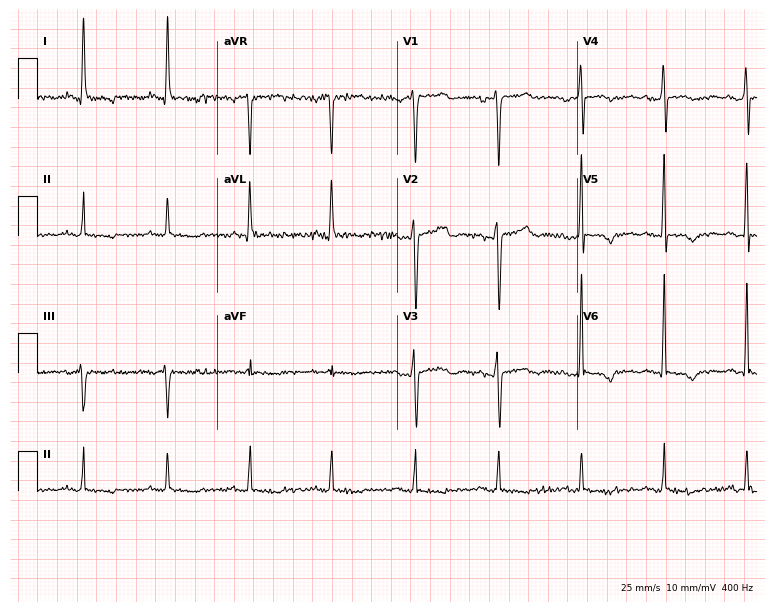
ECG (7.3-second recording at 400 Hz) — a female patient, 60 years old. Screened for six findings — first-degree AV block, right bundle branch block (RBBB), left bundle branch block (LBBB), sinus bradycardia, atrial fibrillation (AF), sinus tachycardia — none is recorded.